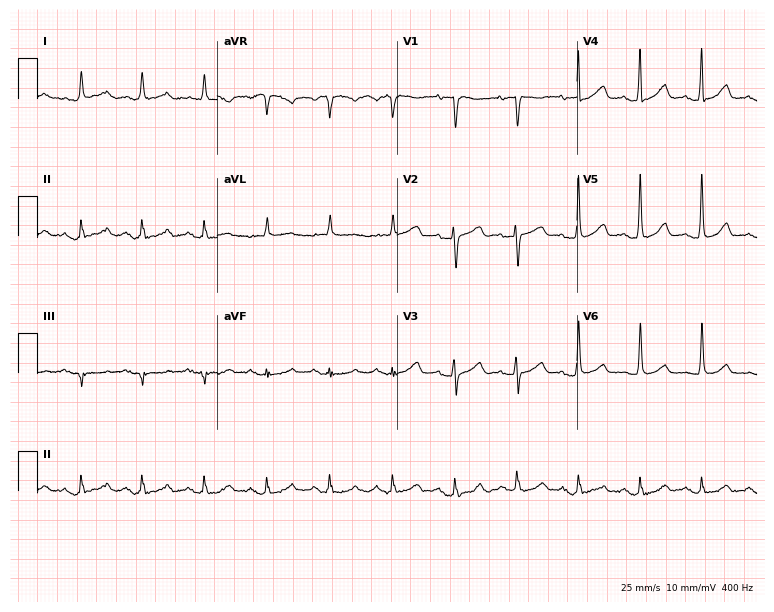
Standard 12-lead ECG recorded from a woman, 81 years old (7.3-second recording at 400 Hz). None of these six findings is recorded: first-degree AV block, right bundle branch block (RBBB), left bundle branch block (LBBB), sinus bradycardia, atrial fibrillation (AF), sinus tachycardia.